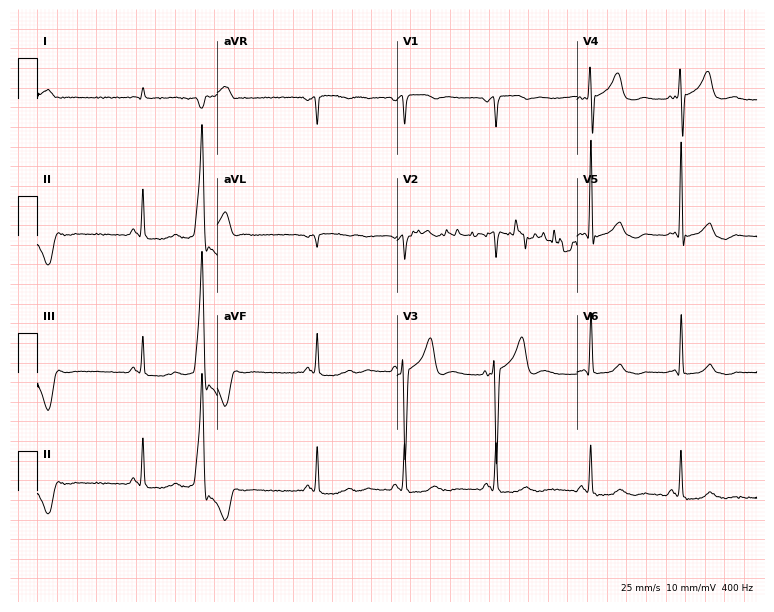
Standard 12-lead ECG recorded from a 65-year-old male (7.3-second recording at 400 Hz). None of these six findings is recorded: first-degree AV block, right bundle branch block (RBBB), left bundle branch block (LBBB), sinus bradycardia, atrial fibrillation (AF), sinus tachycardia.